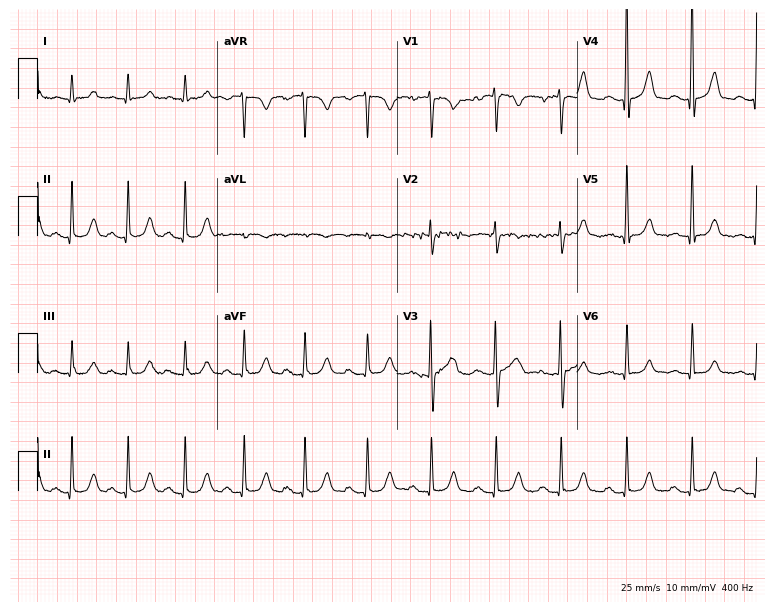
12-lead ECG (7.3-second recording at 400 Hz) from a 72-year-old female patient. Screened for six findings — first-degree AV block, right bundle branch block, left bundle branch block, sinus bradycardia, atrial fibrillation, sinus tachycardia — none is recorded. Only these six findings were labelled.